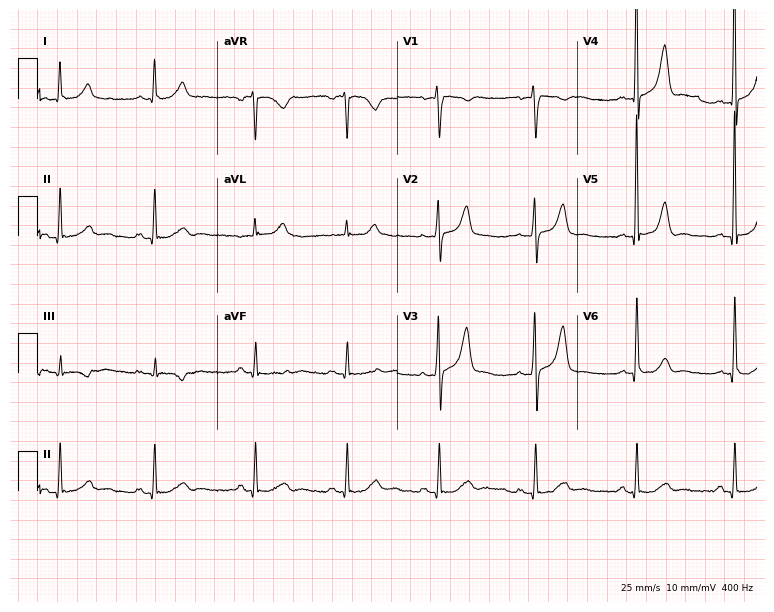
Resting 12-lead electrocardiogram (7.3-second recording at 400 Hz). Patient: a 57-year-old man. Read as a normal ECG.